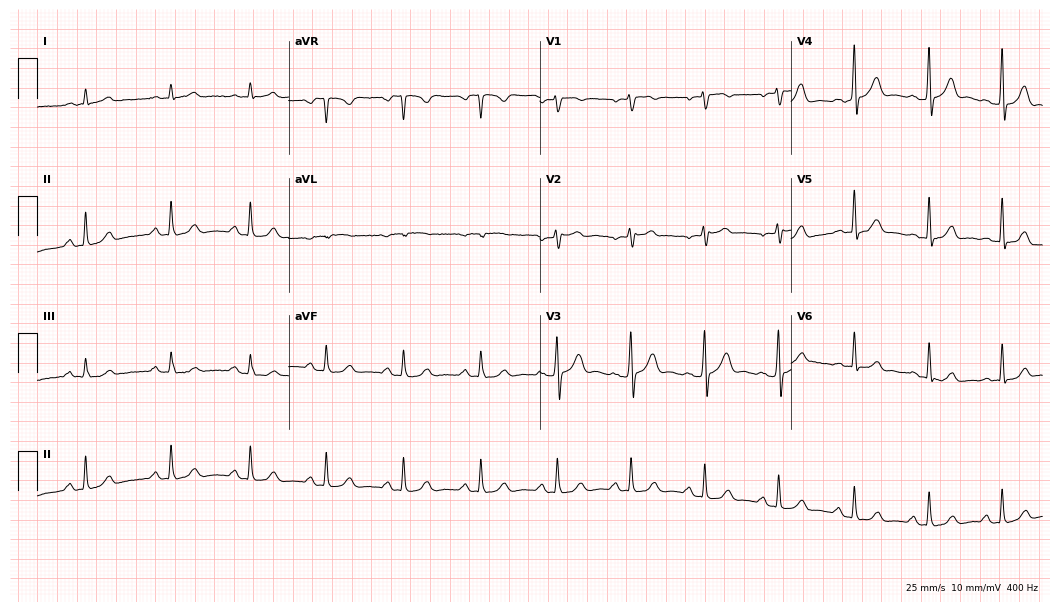
Electrocardiogram (10.2-second recording at 400 Hz), a male patient, 75 years old. Overall reading on record: normal ECG.